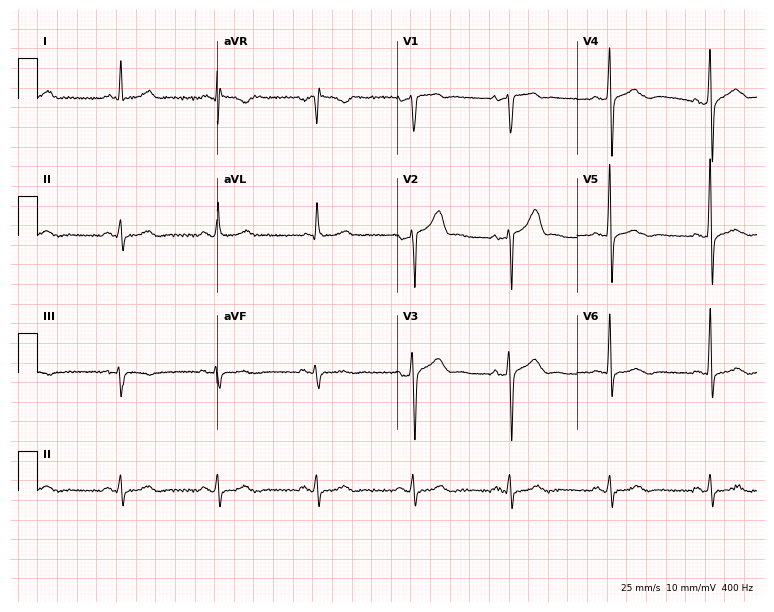
12-lead ECG from a male, 60 years old. Recorded interpretation: within normal limits.